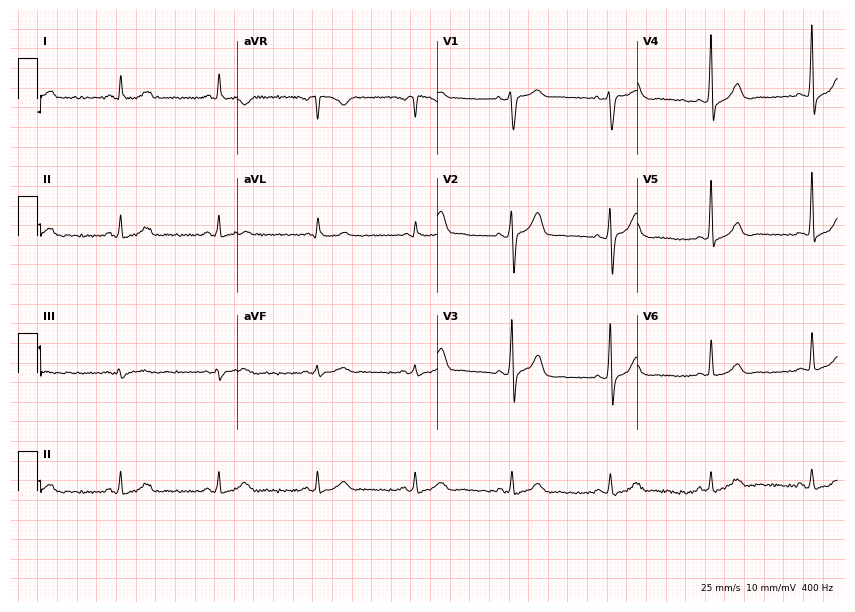
Electrocardiogram (8.2-second recording at 400 Hz), a 44-year-old male patient. Of the six screened findings (first-degree AV block, right bundle branch block (RBBB), left bundle branch block (LBBB), sinus bradycardia, atrial fibrillation (AF), sinus tachycardia), none is recorded. Other findings, if any, are not listed.